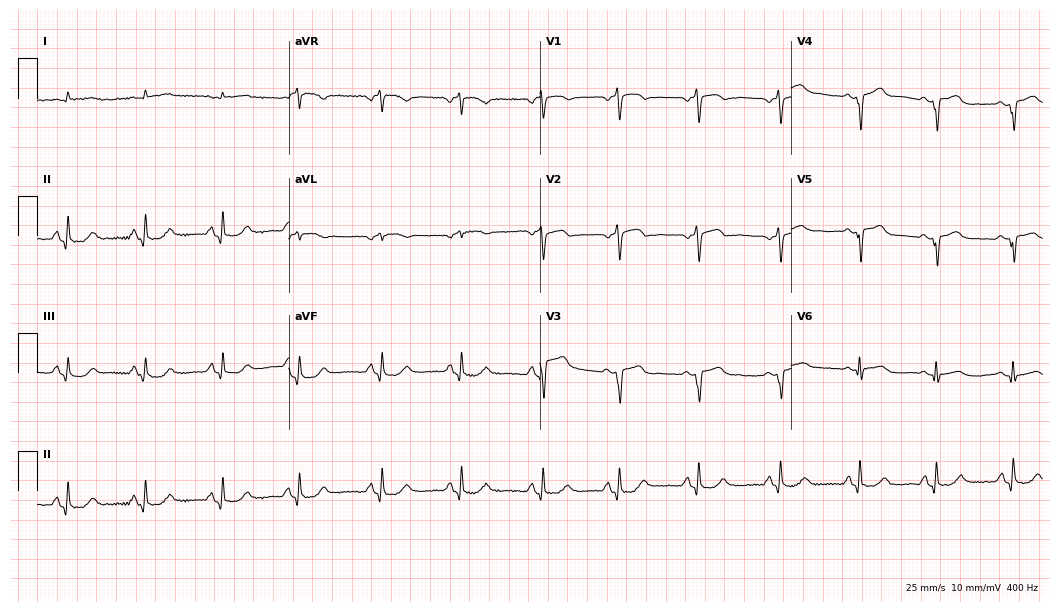
12-lead ECG from a male patient, 82 years old (10.2-second recording at 400 Hz). No first-degree AV block, right bundle branch block, left bundle branch block, sinus bradycardia, atrial fibrillation or sinus tachycardia recorded for this tracing.